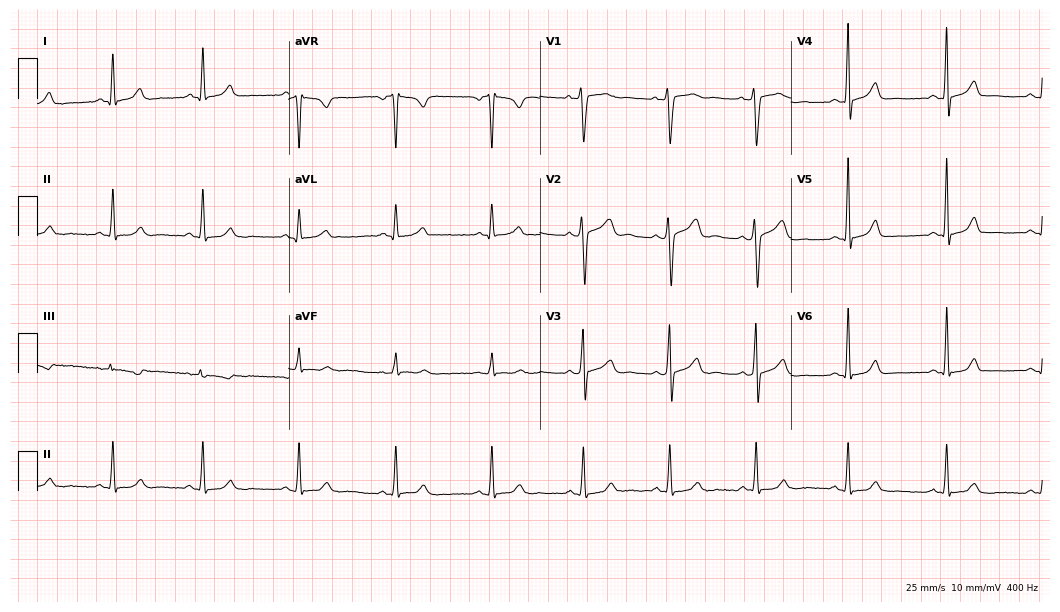
12-lead ECG from a 31-year-old female. Recorded interpretation: within normal limits.